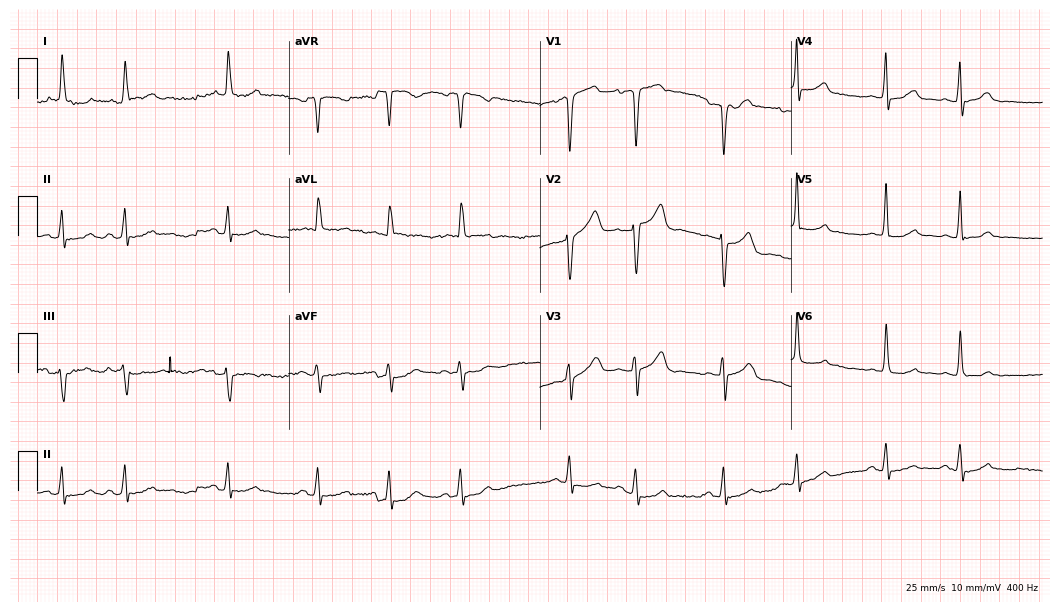
Resting 12-lead electrocardiogram (10.2-second recording at 400 Hz). Patient: a 65-year-old woman. None of these six findings is recorded: first-degree AV block, right bundle branch block (RBBB), left bundle branch block (LBBB), sinus bradycardia, atrial fibrillation (AF), sinus tachycardia. Only these six findings were labelled.